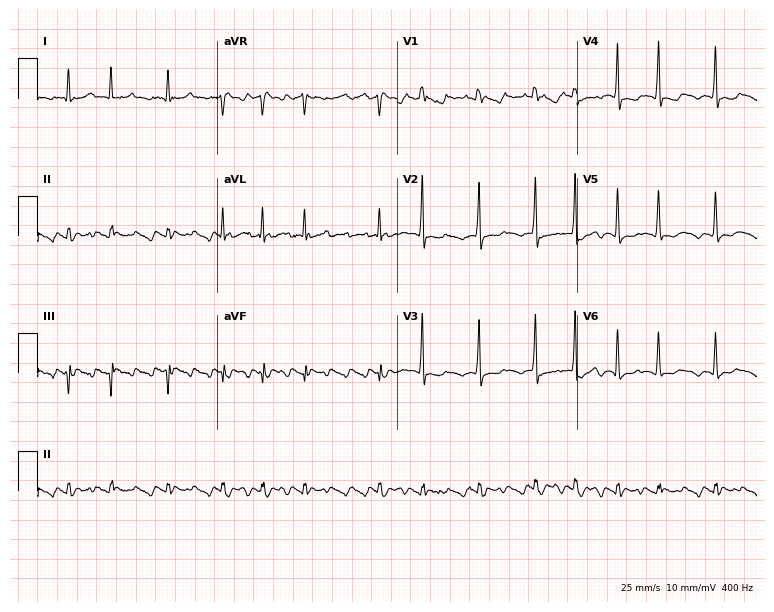
Resting 12-lead electrocardiogram (7.3-second recording at 400 Hz). Patient: a 76-year-old male. None of these six findings is recorded: first-degree AV block, right bundle branch block (RBBB), left bundle branch block (LBBB), sinus bradycardia, atrial fibrillation (AF), sinus tachycardia.